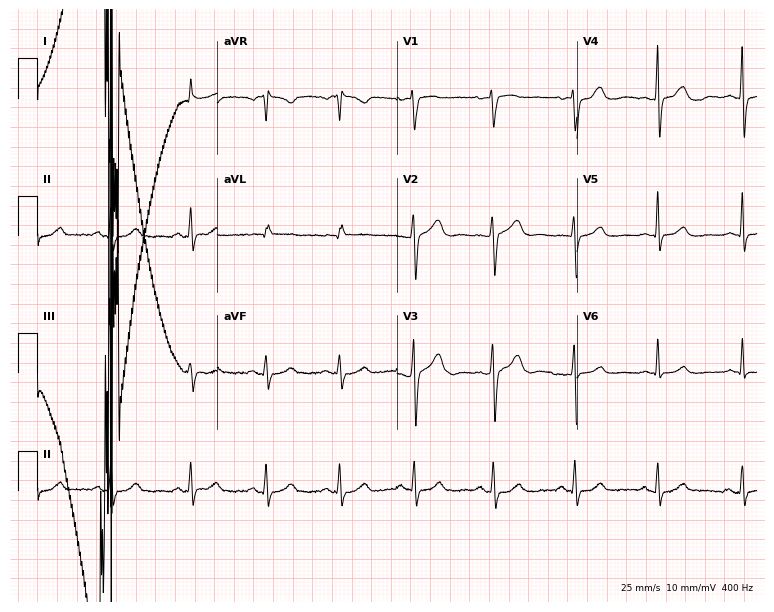
Standard 12-lead ECG recorded from a female patient, 59 years old (7.3-second recording at 400 Hz). None of these six findings is recorded: first-degree AV block, right bundle branch block (RBBB), left bundle branch block (LBBB), sinus bradycardia, atrial fibrillation (AF), sinus tachycardia. Other findings, if any, are not listed.